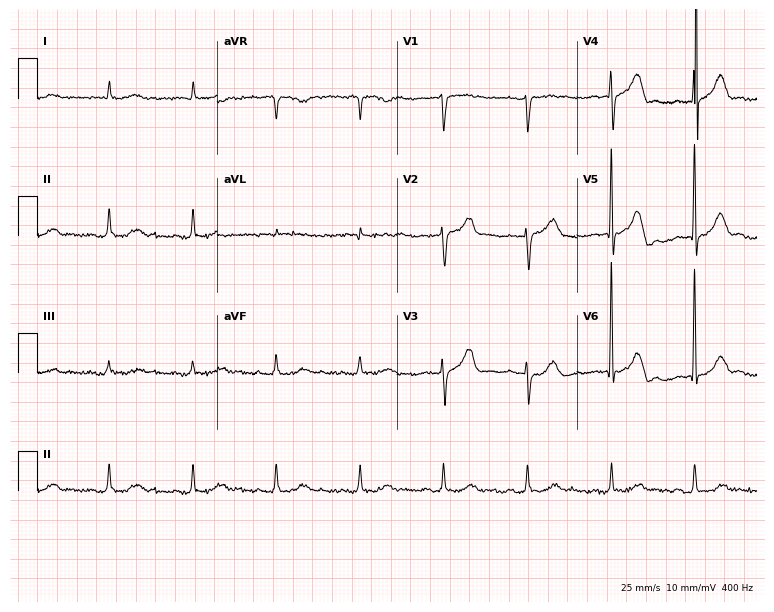
12-lead ECG (7.3-second recording at 400 Hz) from a male, 79 years old. Screened for six findings — first-degree AV block, right bundle branch block, left bundle branch block, sinus bradycardia, atrial fibrillation, sinus tachycardia — none is recorded.